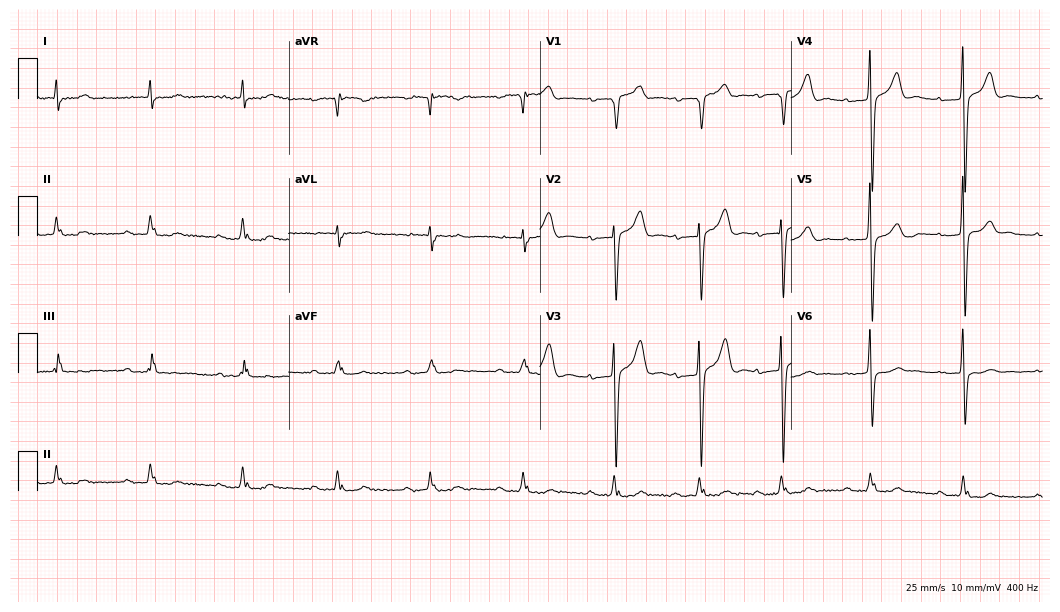
Resting 12-lead electrocardiogram (10.2-second recording at 400 Hz). Patient: a 77-year-old male. The tracing shows first-degree AV block.